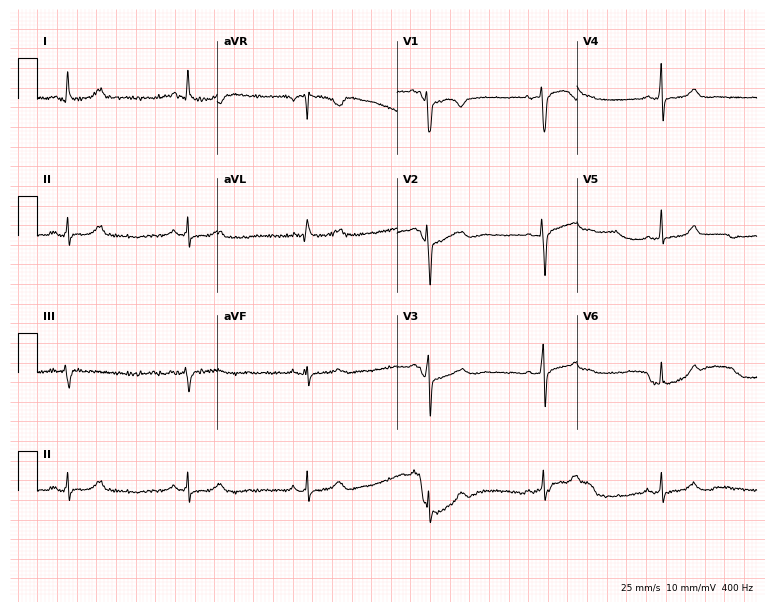
12-lead ECG from a female, 70 years old (7.3-second recording at 400 Hz). No first-degree AV block, right bundle branch block (RBBB), left bundle branch block (LBBB), sinus bradycardia, atrial fibrillation (AF) or sinus tachycardia recorded for this tracing. Other findings, if any, are not listed.